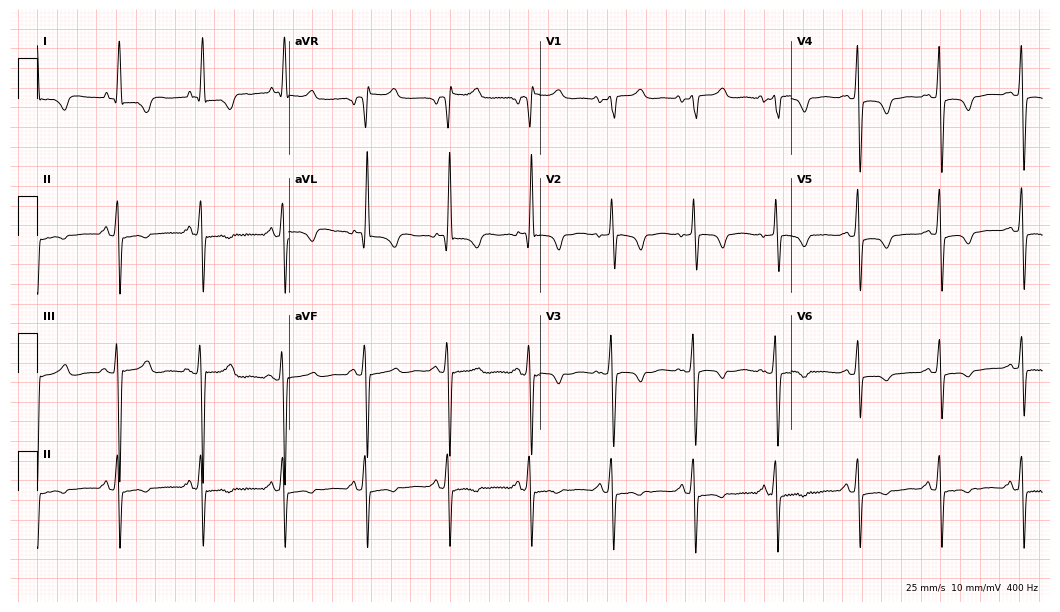
Standard 12-lead ECG recorded from a 78-year-old woman (10.2-second recording at 400 Hz). None of these six findings is recorded: first-degree AV block, right bundle branch block (RBBB), left bundle branch block (LBBB), sinus bradycardia, atrial fibrillation (AF), sinus tachycardia. Findings outside these six are not listed.